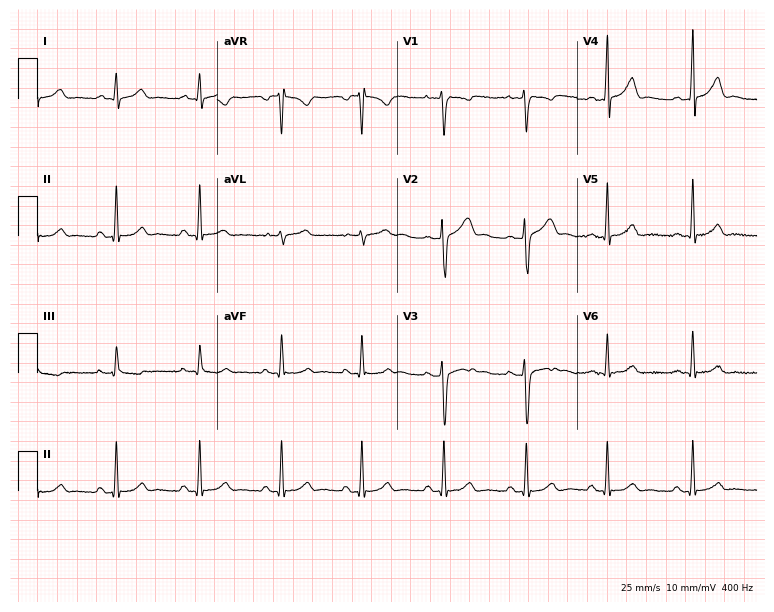
12-lead ECG (7.3-second recording at 400 Hz) from a man, 20 years old. Labelled as a normal ECG.